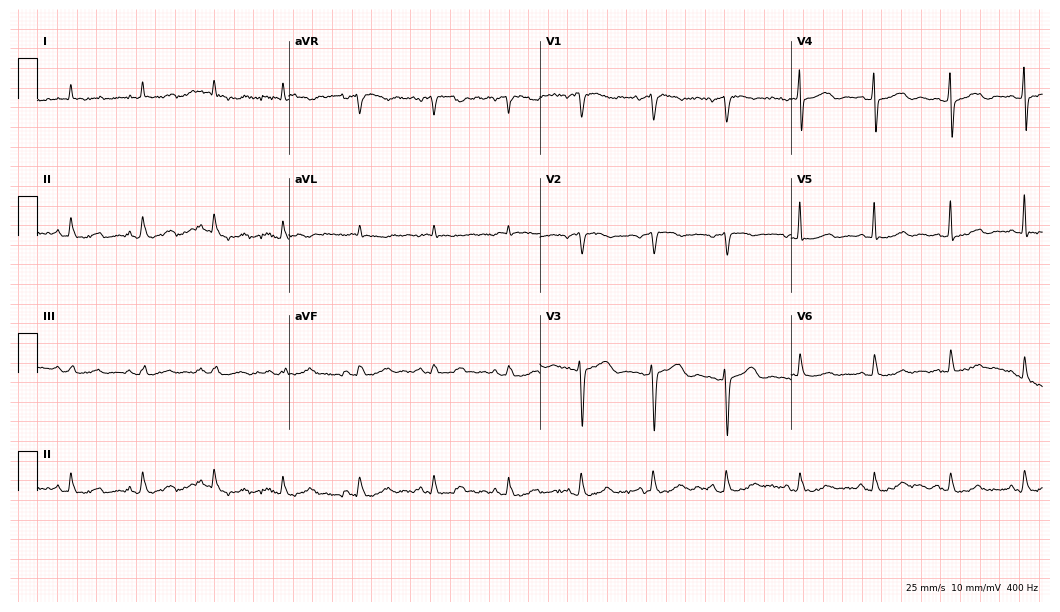
ECG (10.2-second recording at 400 Hz) — an 85-year-old man. Screened for six findings — first-degree AV block, right bundle branch block (RBBB), left bundle branch block (LBBB), sinus bradycardia, atrial fibrillation (AF), sinus tachycardia — none is recorded.